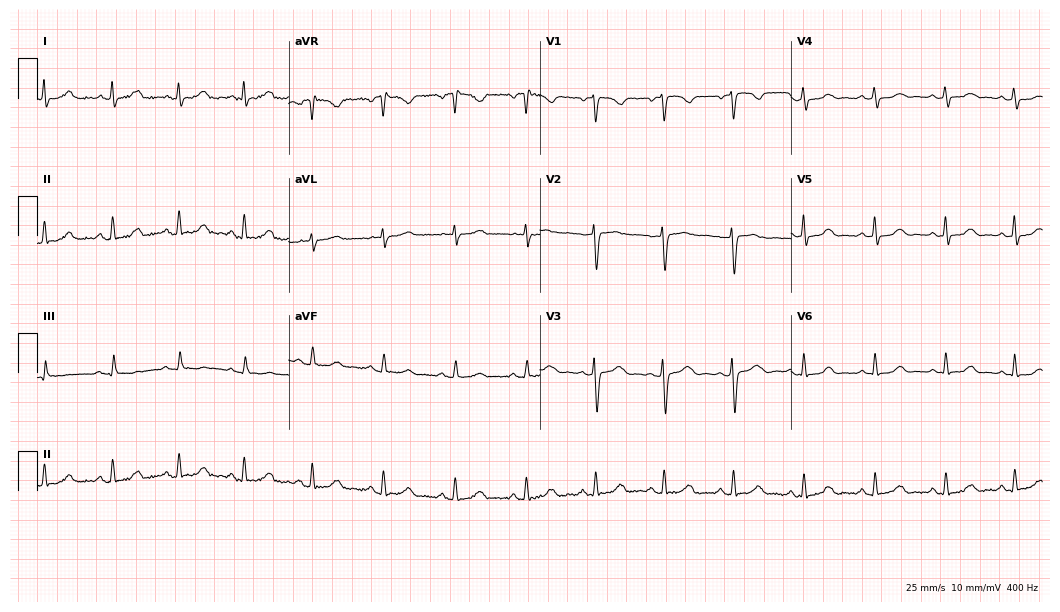
ECG — a 46-year-old female. Labelled as a normal ECG.